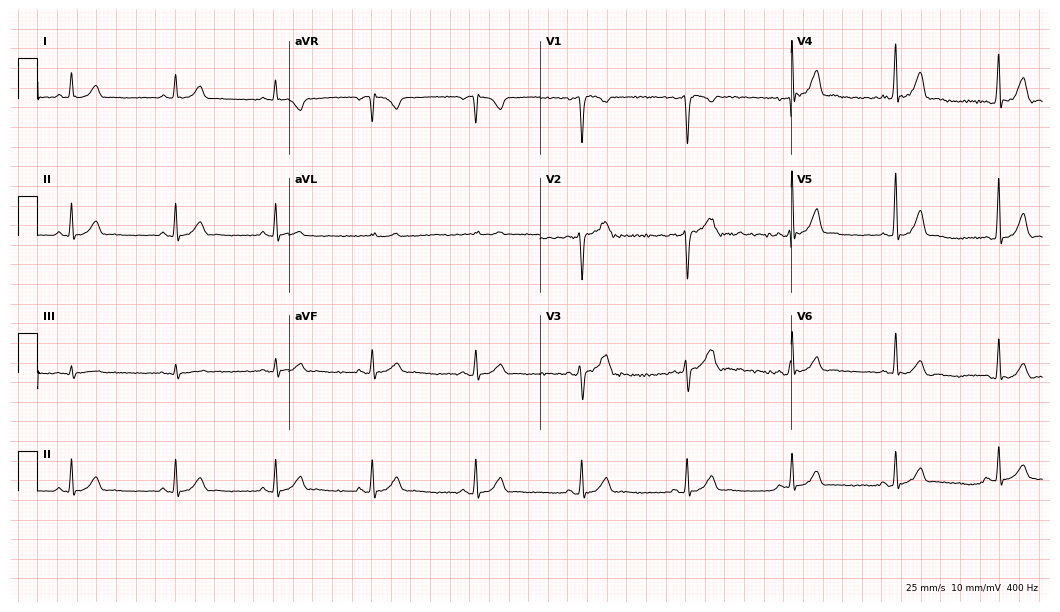
12-lead ECG from a 42-year-old male. Recorded interpretation: within normal limits.